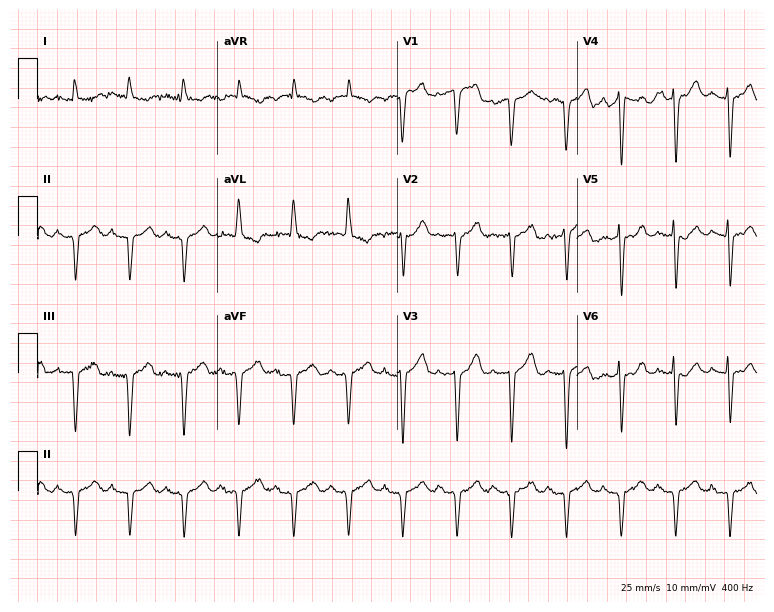
12-lead ECG from an 84-year-old man. Shows sinus tachycardia (a sinus rate of 100 beats per minute or more).